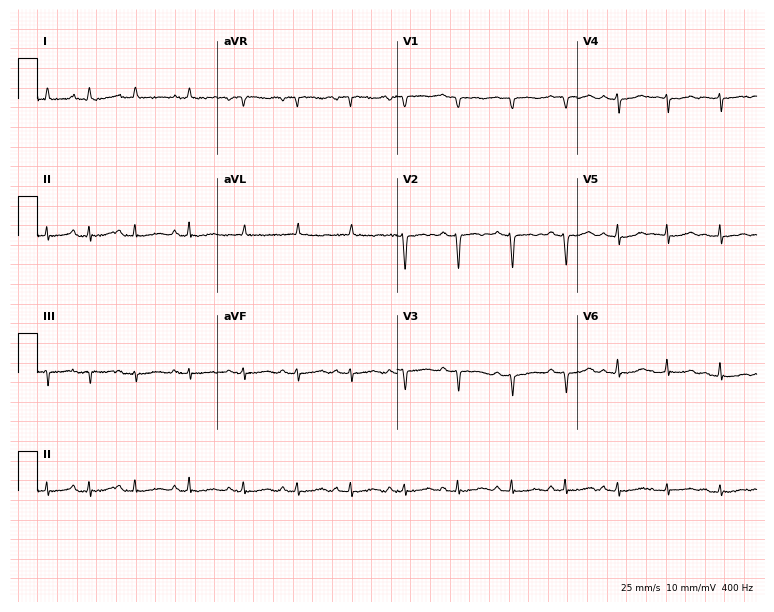
Standard 12-lead ECG recorded from a female patient, 81 years old (7.3-second recording at 400 Hz). The tracing shows sinus tachycardia (a sinus rate of 100 beats per minute or more).